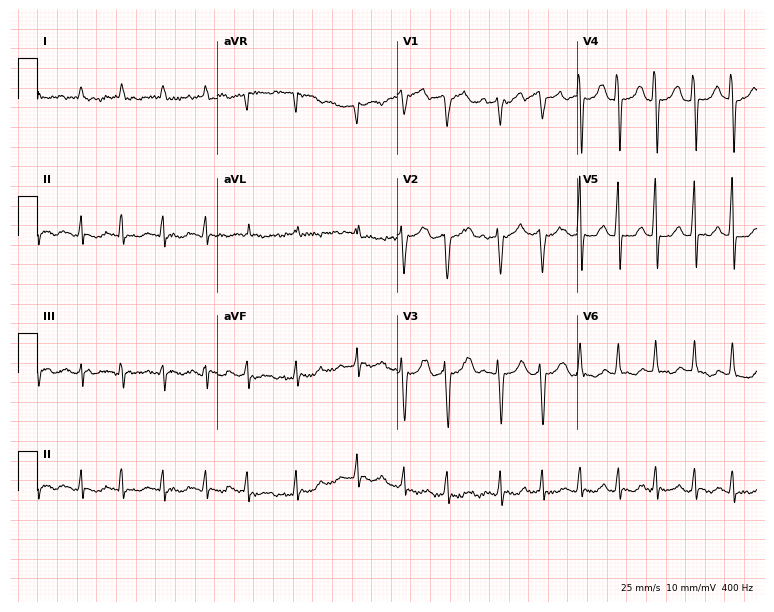
Resting 12-lead electrocardiogram (7.3-second recording at 400 Hz). Patient: a female, 41 years old. The tracing shows atrial fibrillation (AF).